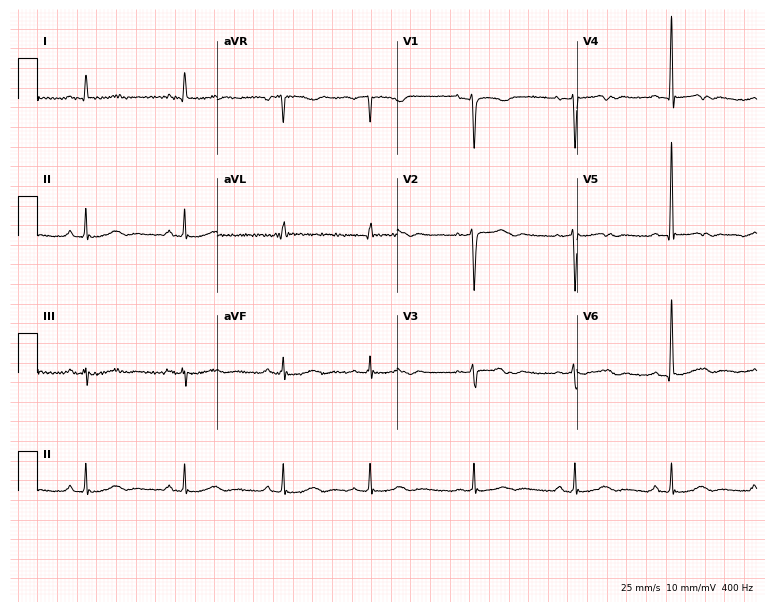
12-lead ECG from a woman, 46 years old (7.3-second recording at 400 Hz). No first-degree AV block, right bundle branch block, left bundle branch block, sinus bradycardia, atrial fibrillation or sinus tachycardia recorded for this tracing. Findings outside these six are not listed.